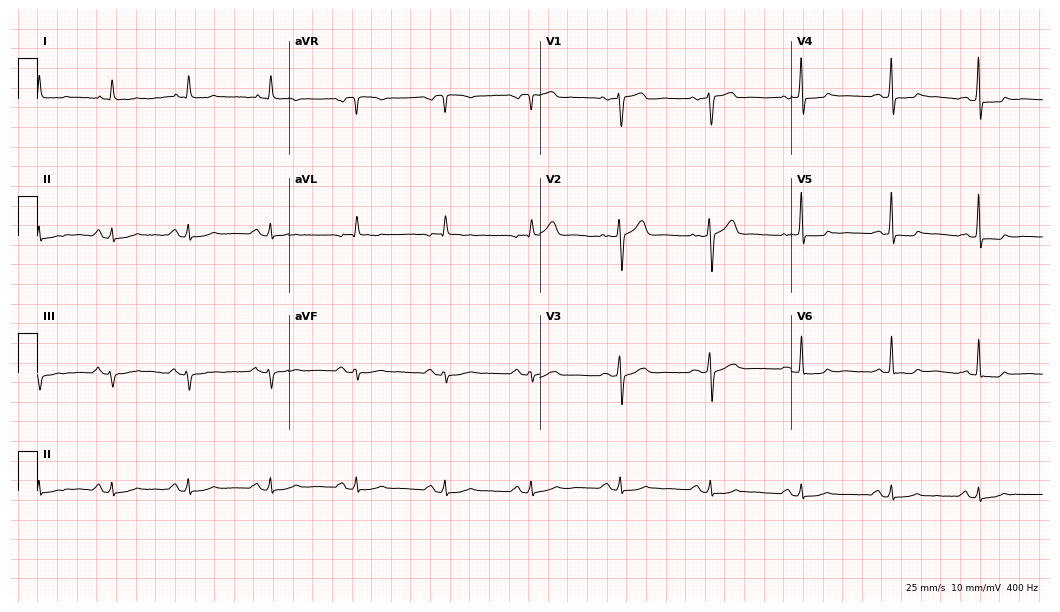
Standard 12-lead ECG recorded from a 53-year-old female patient (10.2-second recording at 400 Hz). None of these six findings is recorded: first-degree AV block, right bundle branch block (RBBB), left bundle branch block (LBBB), sinus bradycardia, atrial fibrillation (AF), sinus tachycardia.